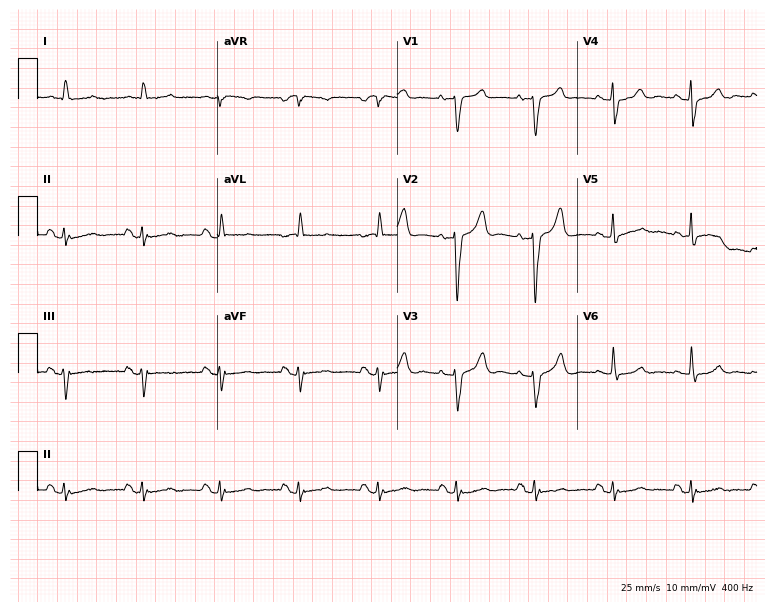
ECG — a 78-year-old woman. Labelled as a normal ECG.